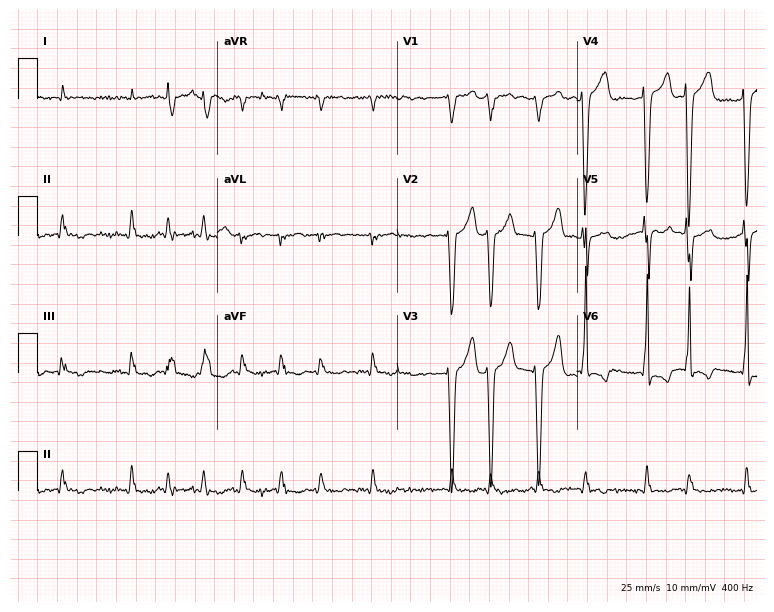
12-lead ECG from a male patient, 79 years old (7.3-second recording at 400 Hz). Shows atrial fibrillation.